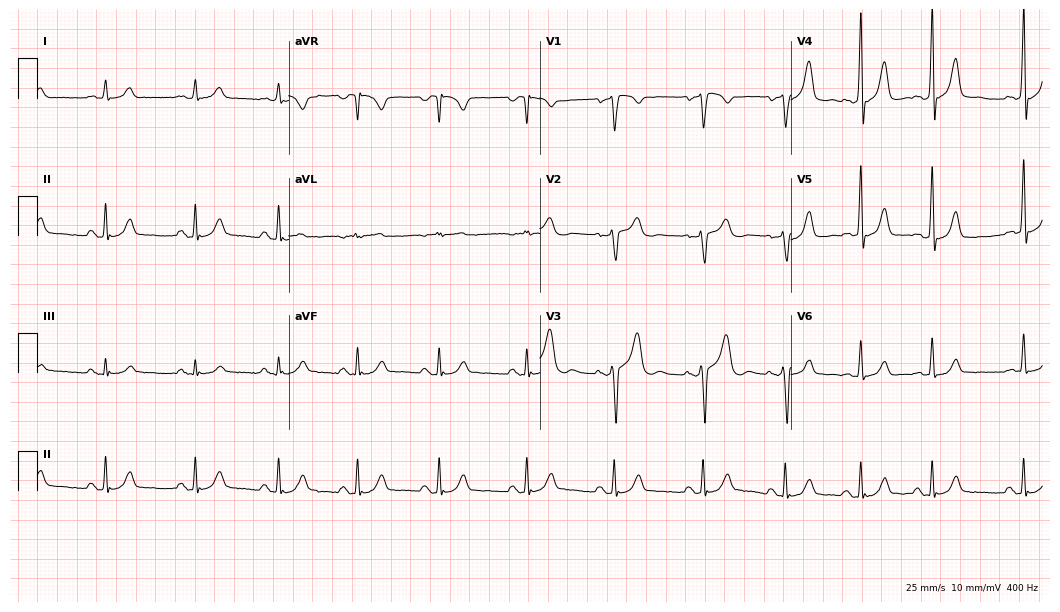
12-lead ECG from a man, 50 years old. Labelled as a normal ECG.